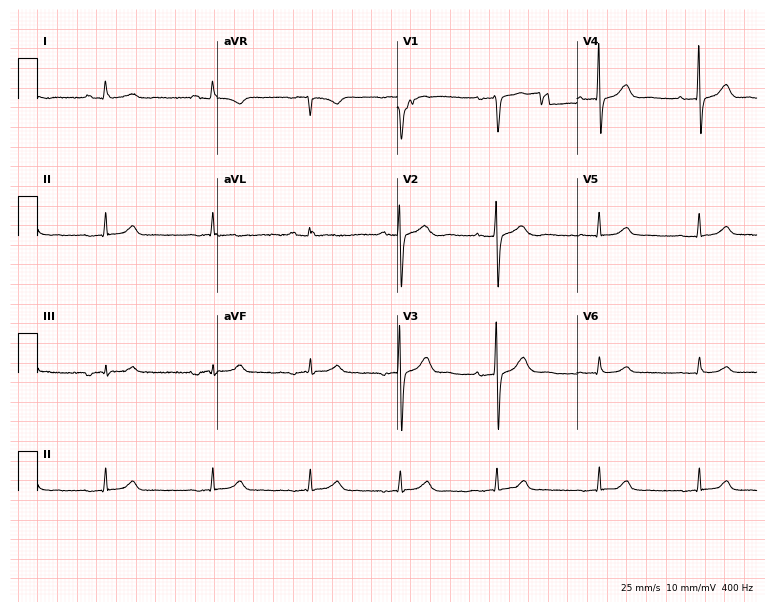
Standard 12-lead ECG recorded from a male, 78 years old (7.3-second recording at 400 Hz). Read as a normal ECG.